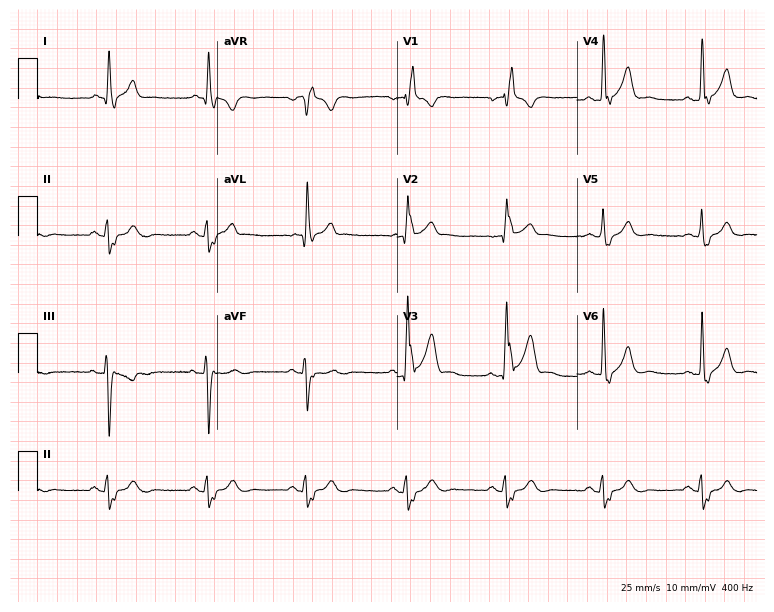
ECG — a male, 62 years old. Findings include right bundle branch block.